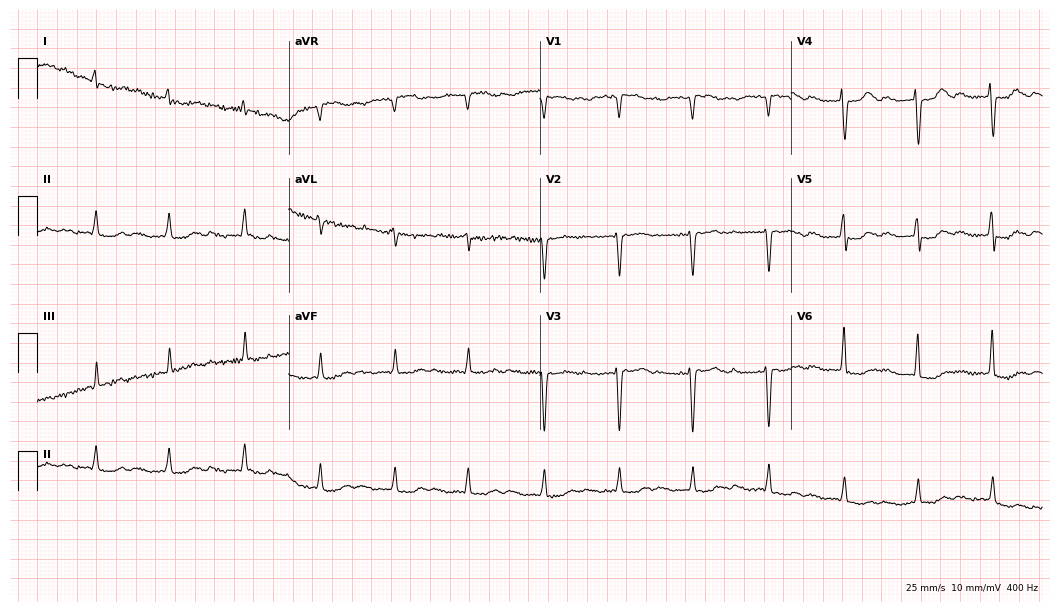
12-lead ECG from a woman, 78 years old (10.2-second recording at 400 Hz). No first-degree AV block, right bundle branch block, left bundle branch block, sinus bradycardia, atrial fibrillation or sinus tachycardia recorded for this tracing. Only these six findings were labelled.